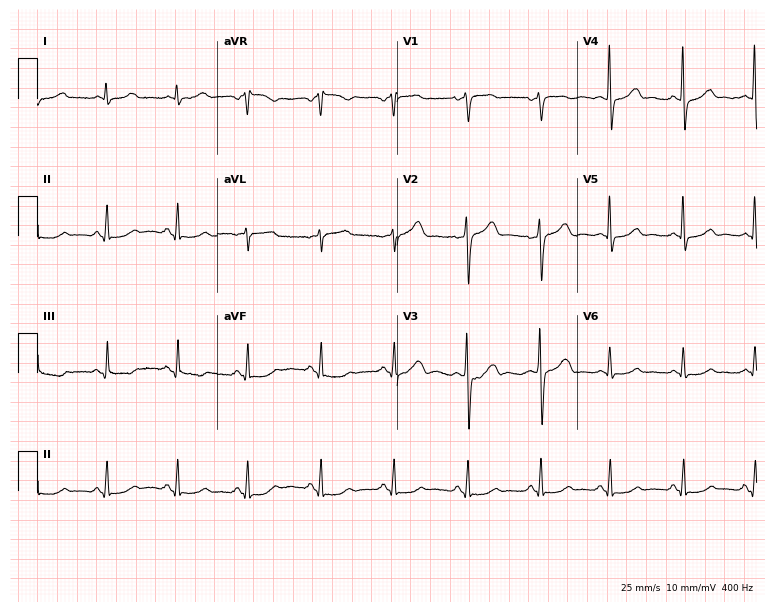
12-lead ECG from a 59-year-old male (7.3-second recording at 400 Hz). No first-degree AV block, right bundle branch block (RBBB), left bundle branch block (LBBB), sinus bradycardia, atrial fibrillation (AF) or sinus tachycardia recorded for this tracing. Findings outside these six are not listed.